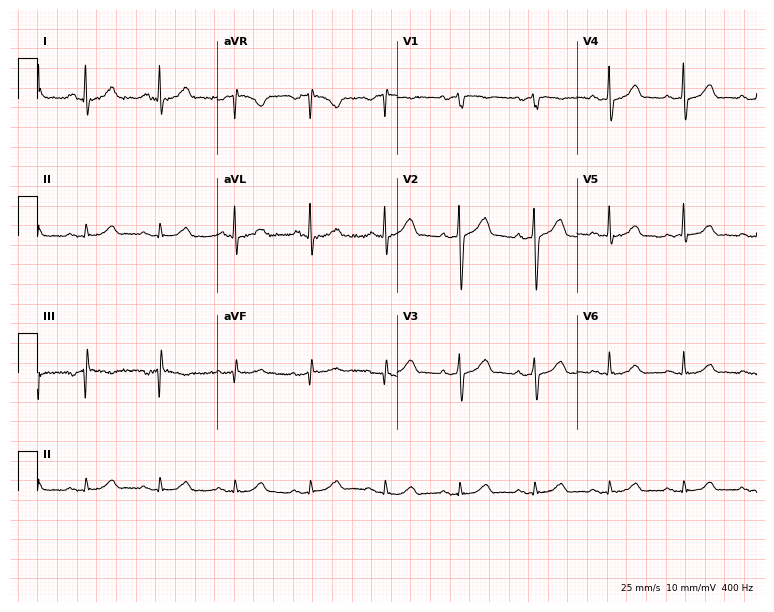
Resting 12-lead electrocardiogram. Patient: a 45-year-old male. Read as a normal ECG.